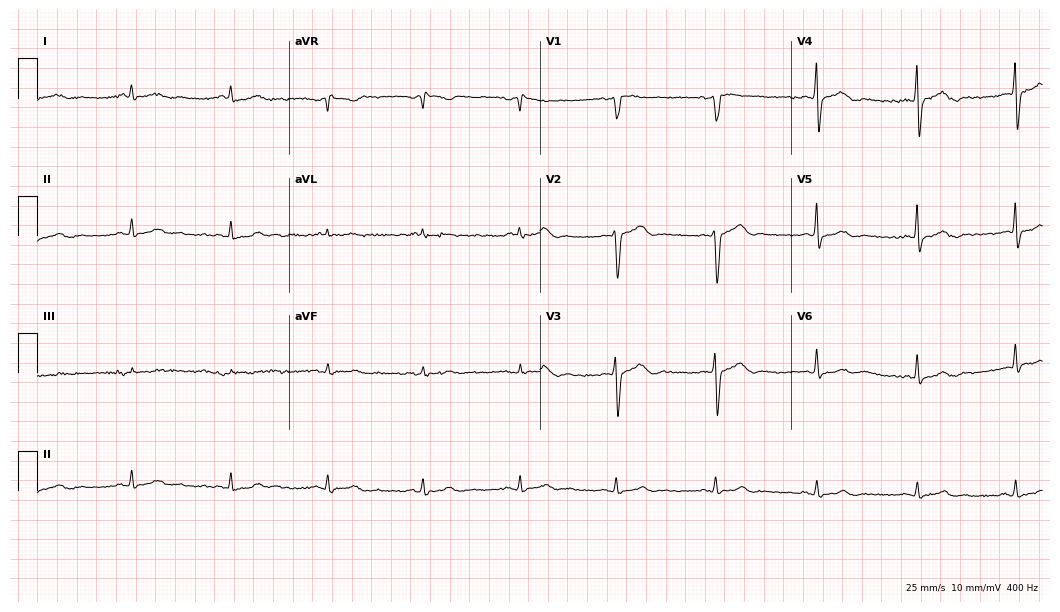
12-lead ECG (10.2-second recording at 400 Hz) from a 60-year-old male. Screened for six findings — first-degree AV block, right bundle branch block (RBBB), left bundle branch block (LBBB), sinus bradycardia, atrial fibrillation (AF), sinus tachycardia — none is recorded. Only these six findings were labelled.